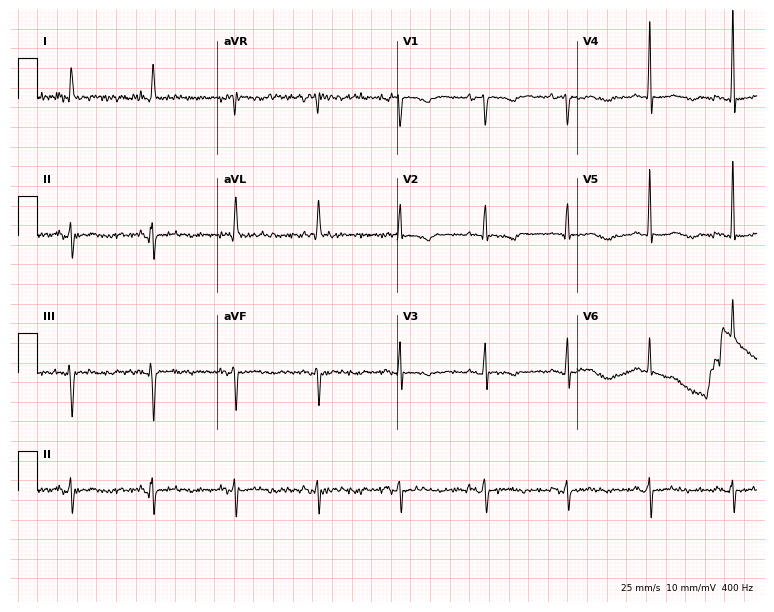
12-lead ECG from a 70-year-old female patient. Screened for six findings — first-degree AV block, right bundle branch block (RBBB), left bundle branch block (LBBB), sinus bradycardia, atrial fibrillation (AF), sinus tachycardia — none is recorded. Other findings, if any, are not listed.